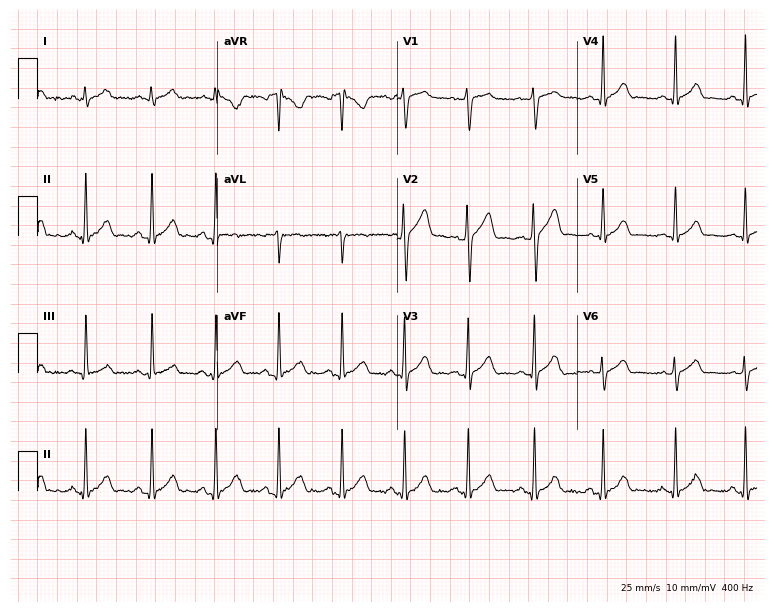
Resting 12-lead electrocardiogram. Patient: a male, 34 years old. Read as a normal ECG.